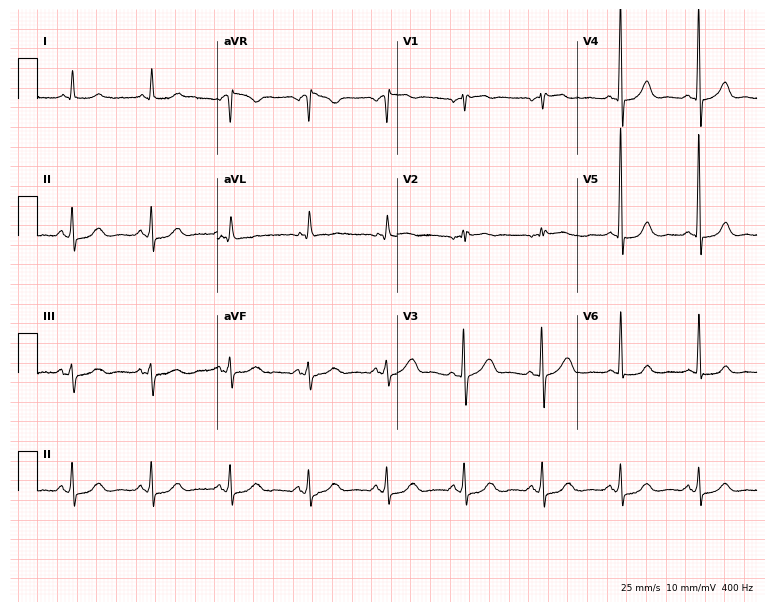
ECG (7.3-second recording at 400 Hz) — a female, 70 years old. Labelled as a normal ECG.